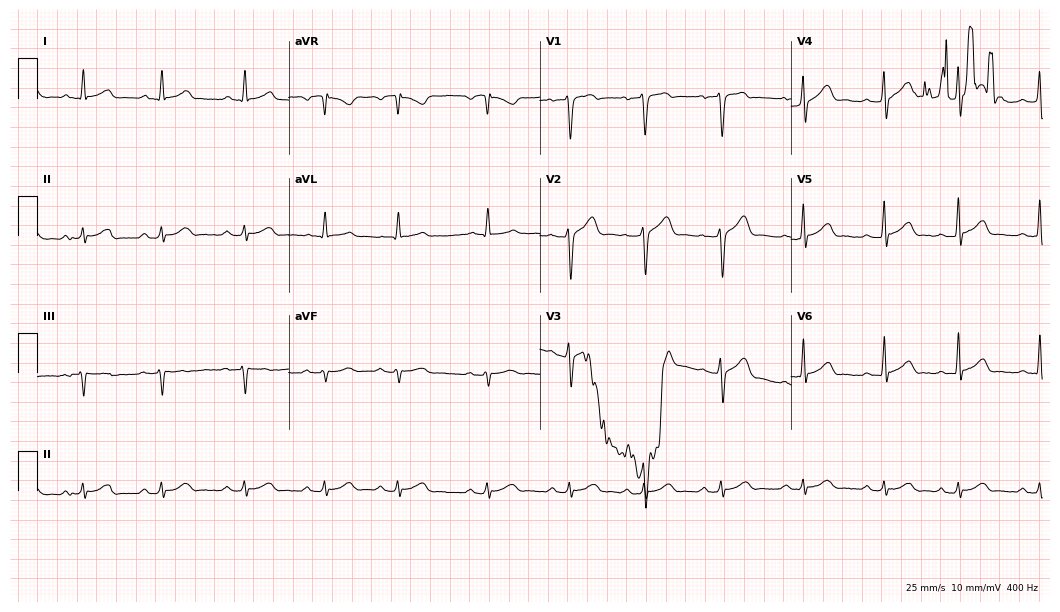
Standard 12-lead ECG recorded from a 32-year-old male. Read as a normal ECG.